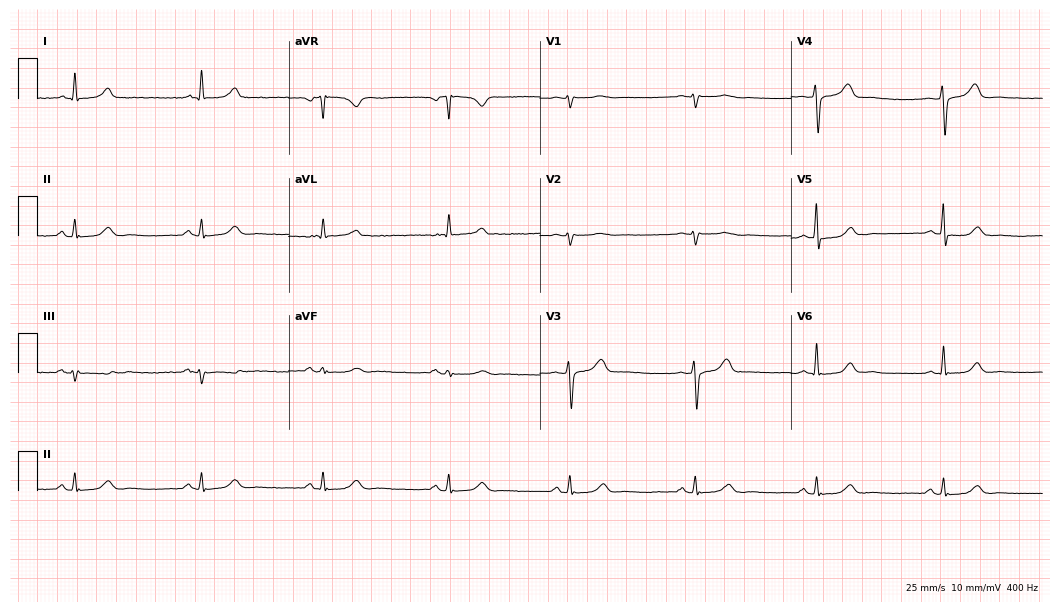
ECG — a 60-year-old female. Screened for six findings — first-degree AV block, right bundle branch block, left bundle branch block, sinus bradycardia, atrial fibrillation, sinus tachycardia — none is recorded. Other findings, if any, are not listed.